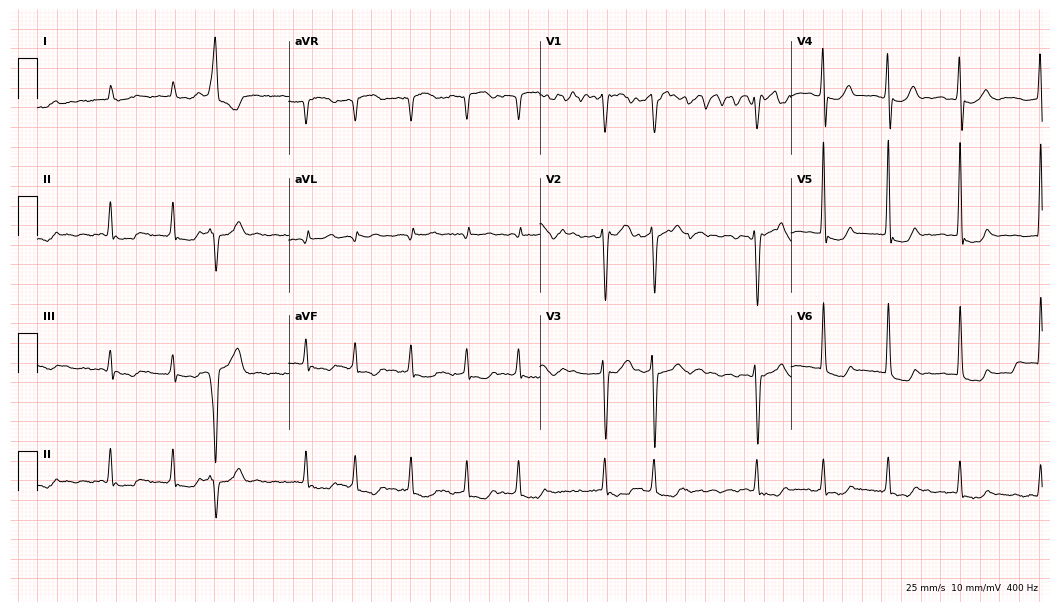
Standard 12-lead ECG recorded from a 71-year-old female. The tracing shows atrial fibrillation.